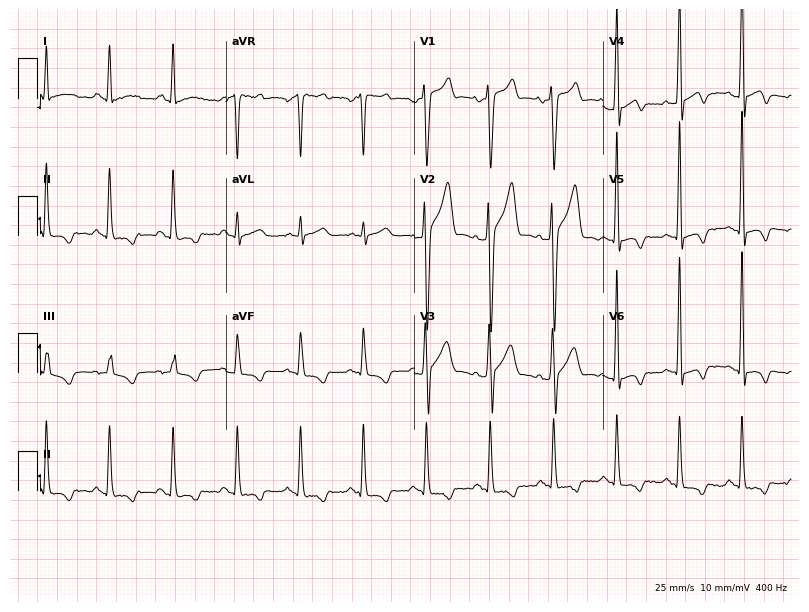
Electrocardiogram, a man, 37 years old. Of the six screened findings (first-degree AV block, right bundle branch block (RBBB), left bundle branch block (LBBB), sinus bradycardia, atrial fibrillation (AF), sinus tachycardia), none is recorded. Other findings, if any, are not listed.